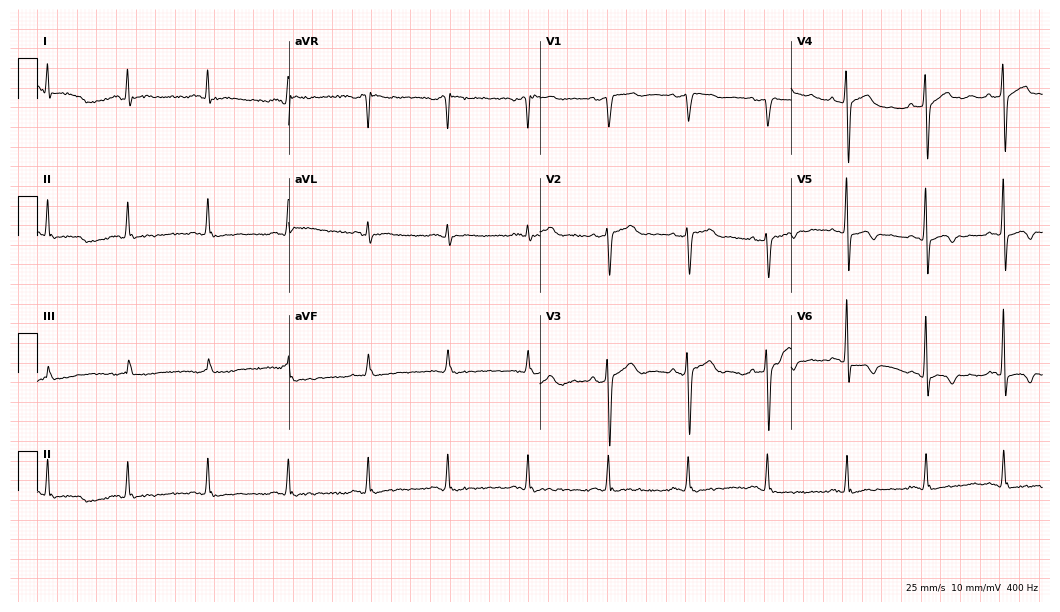
Electrocardiogram, a male patient, 57 years old. Of the six screened findings (first-degree AV block, right bundle branch block (RBBB), left bundle branch block (LBBB), sinus bradycardia, atrial fibrillation (AF), sinus tachycardia), none is recorded. Findings outside these six are not listed.